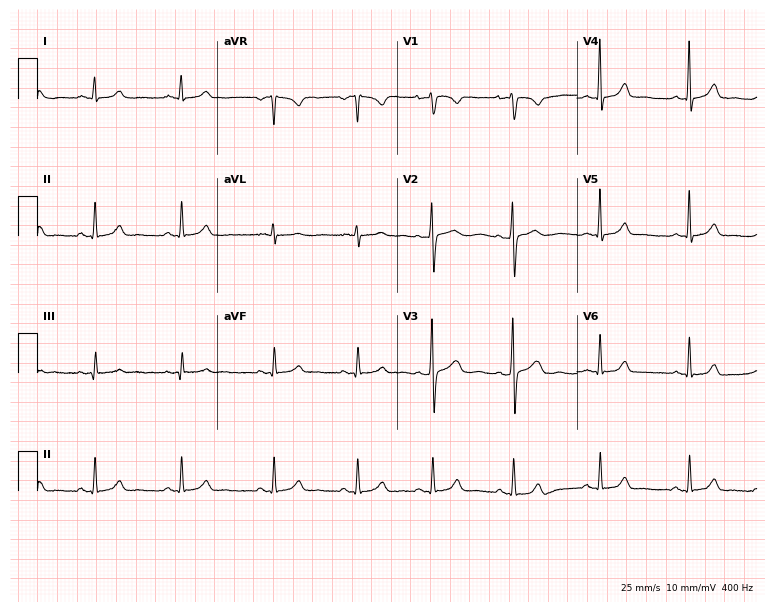
ECG — a female patient, 27 years old. Screened for six findings — first-degree AV block, right bundle branch block (RBBB), left bundle branch block (LBBB), sinus bradycardia, atrial fibrillation (AF), sinus tachycardia — none is recorded.